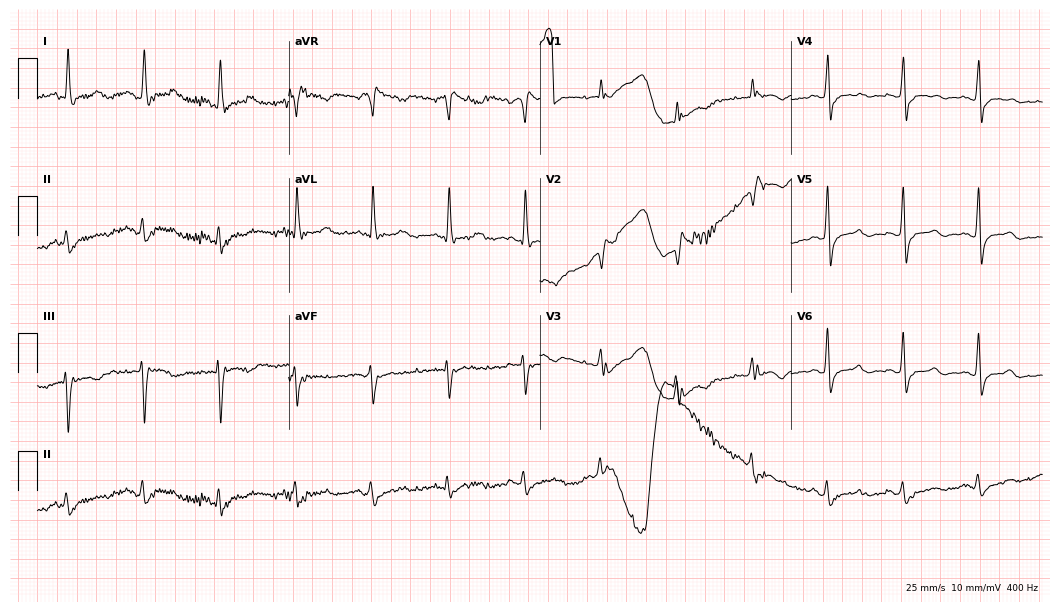
Electrocardiogram, a female, 61 years old. Of the six screened findings (first-degree AV block, right bundle branch block, left bundle branch block, sinus bradycardia, atrial fibrillation, sinus tachycardia), none is recorded.